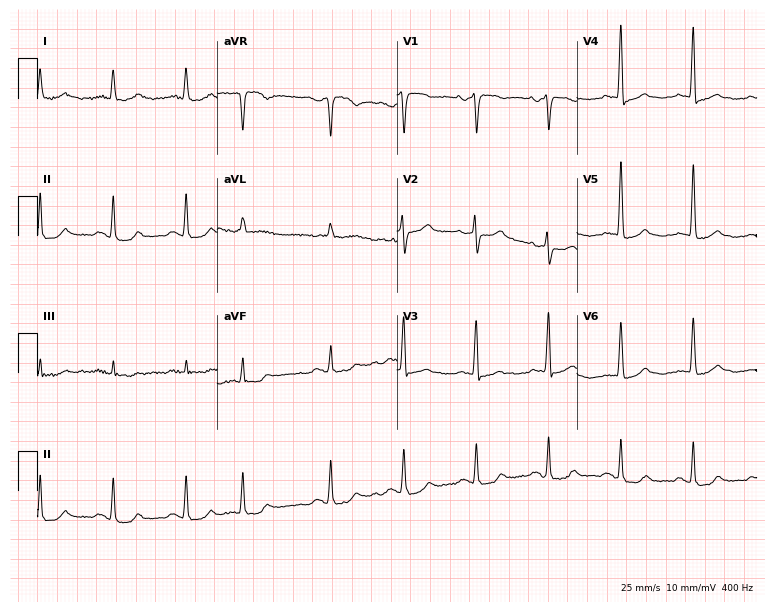
Standard 12-lead ECG recorded from an 81-year-old man. None of these six findings is recorded: first-degree AV block, right bundle branch block (RBBB), left bundle branch block (LBBB), sinus bradycardia, atrial fibrillation (AF), sinus tachycardia.